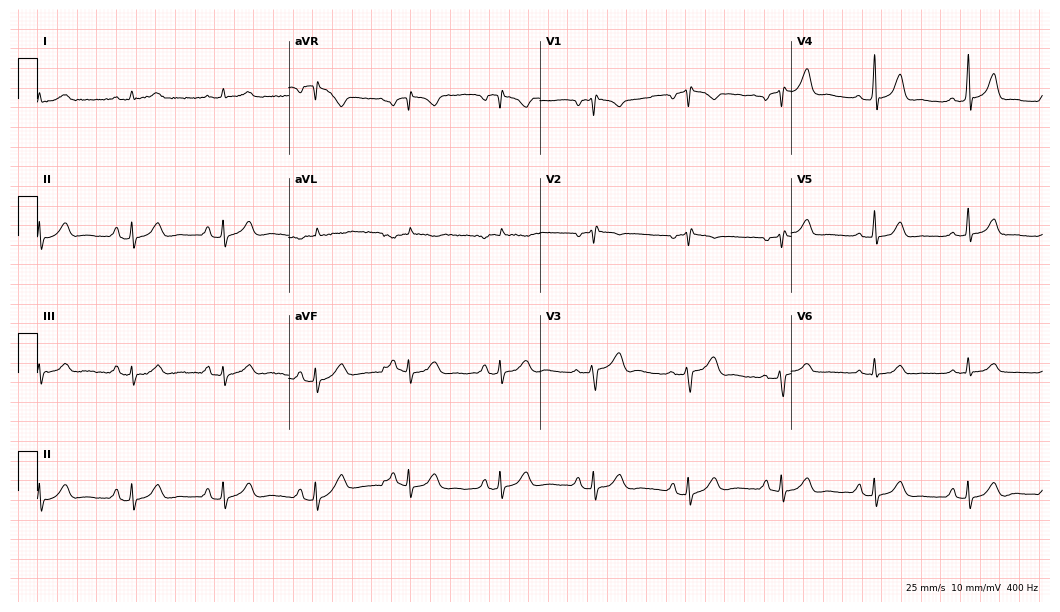
Standard 12-lead ECG recorded from a man, 53 years old. None of these six findings is recorded: first-degree AV block, right bundle branch block, left bundle branch block, sinus bradycardia, atrial fibrillation, sinus tachycardia. Only these six findings were labelled.